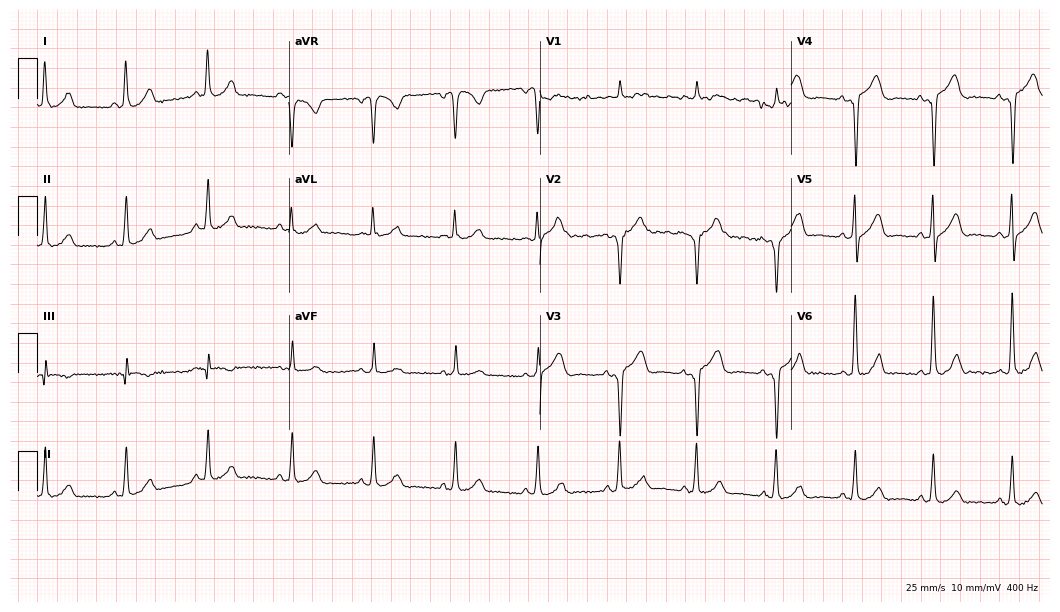
Standard 12-lead ECG recorded from a 27-year-old male patient (10.2-second recording at 400 Hz). None of these six findings is recorded: first-degree AV block, right bundle branch block, left bundle branch block, sinus bradycardia, atrial fibrillation, sinus tachycardia.